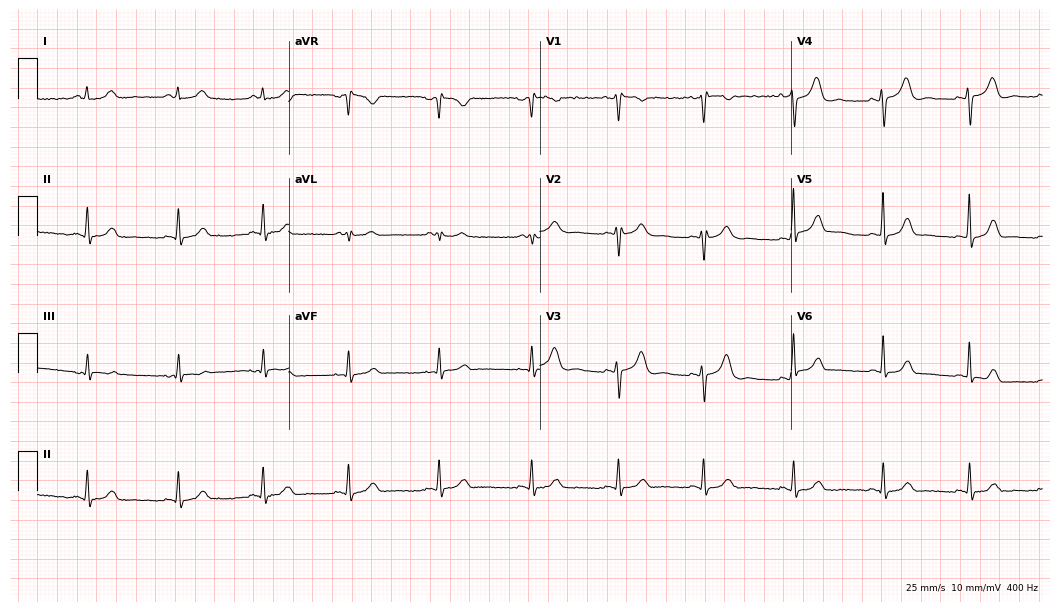
12-lead ECG from a 28-year-old woman (10.2-second recording at 400 Hz). Recorded interpretation: within normal limits.